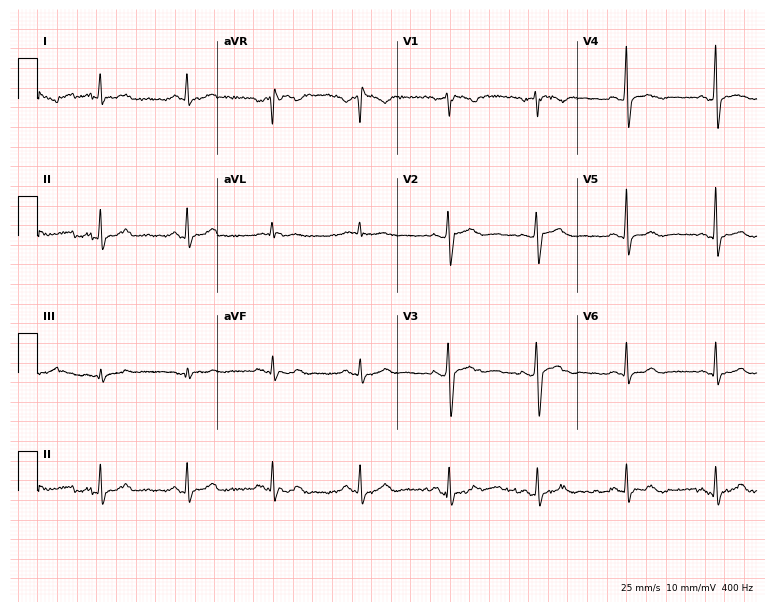
Resting 12-lead electrocardiogram. Patient: a male, 57 years old. Read as a normal ECG.